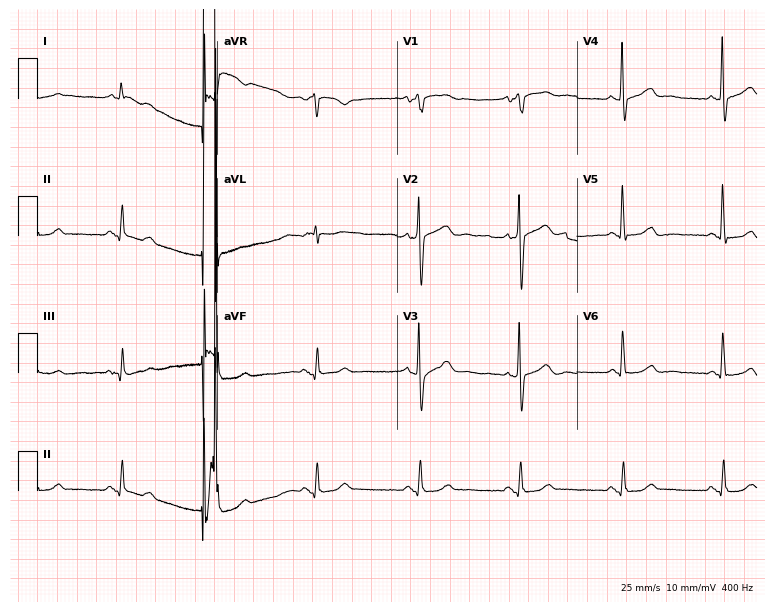
12-lead ECG from a male, 76 years old. Labelled as a normal ECG.